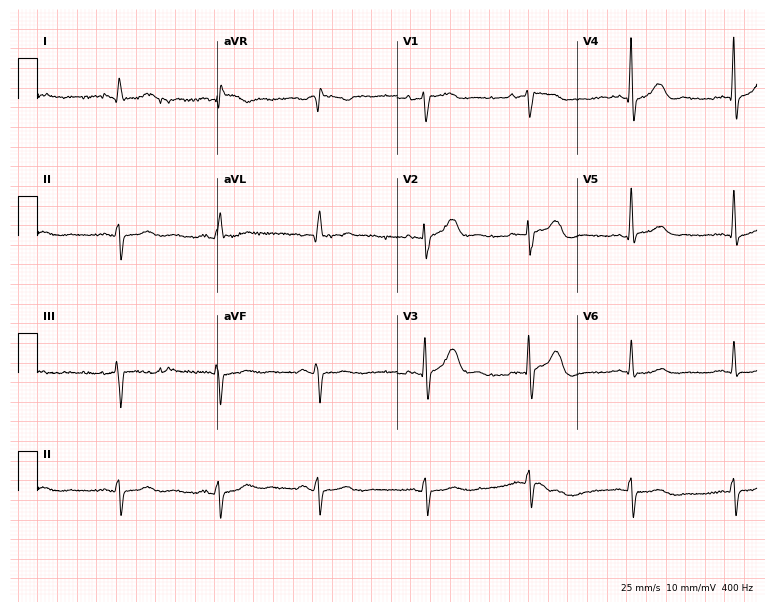
Resting 12-lead electrocardiogram. Patient: a male, 65 years old. None of these six findings is recorded: first-degree AV block, right bundle branch block, left bundle branch block, sinus bradycardia, atrial fibrillation, sinus tachycardia. Other findings, if any, are not listed.